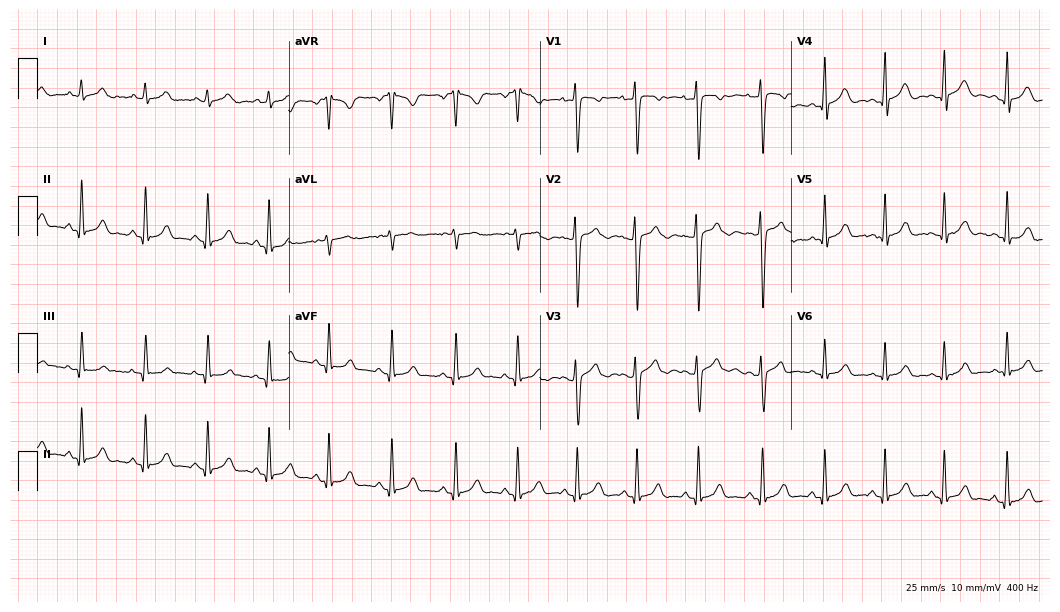
ECG — a female, 18 years old. Screened for six findings — first-degree AV block, right bundle branch block, left bundle branch block, sinus bradycardia, atrial fibrillation, sinus tachycardia — none is recorded.